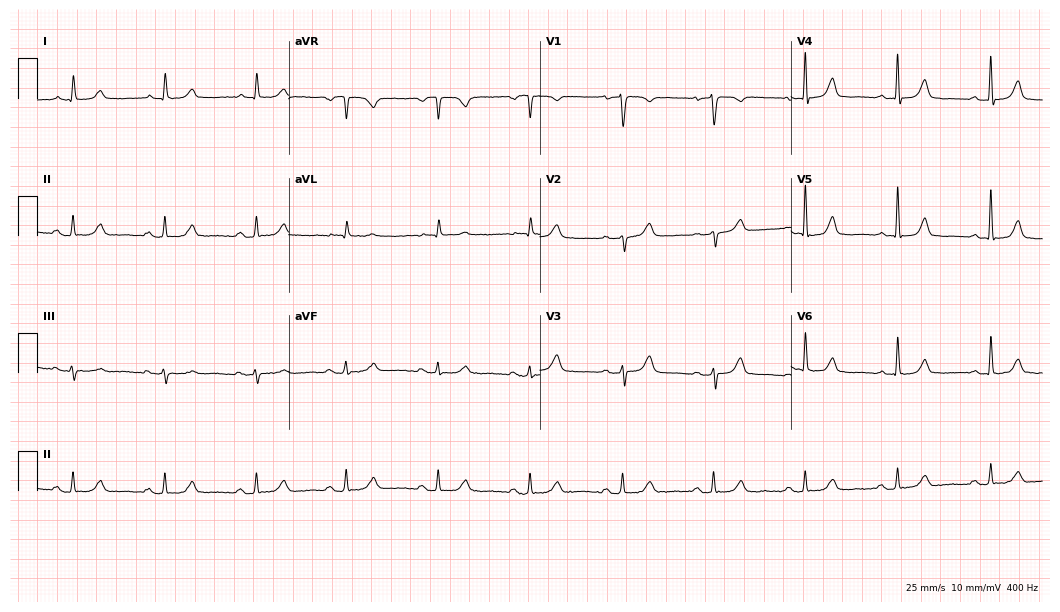
Electrocardiogram (10.2-second recording at 400 Hz), a 68-year-old female. Overall reading on record: normal ECG.